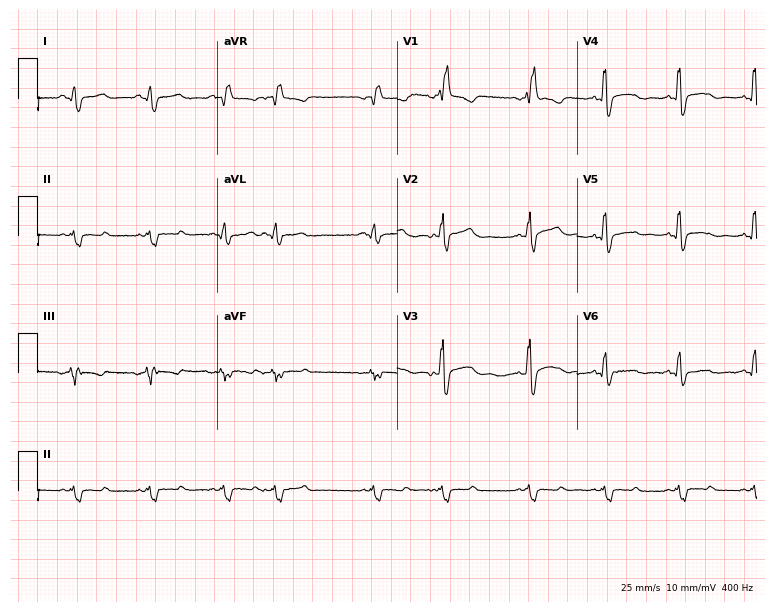
Resting 12-lead electrocardiogram. Patient: a man, 64 years old. The tracing shows right bundle branch block (RBBB).